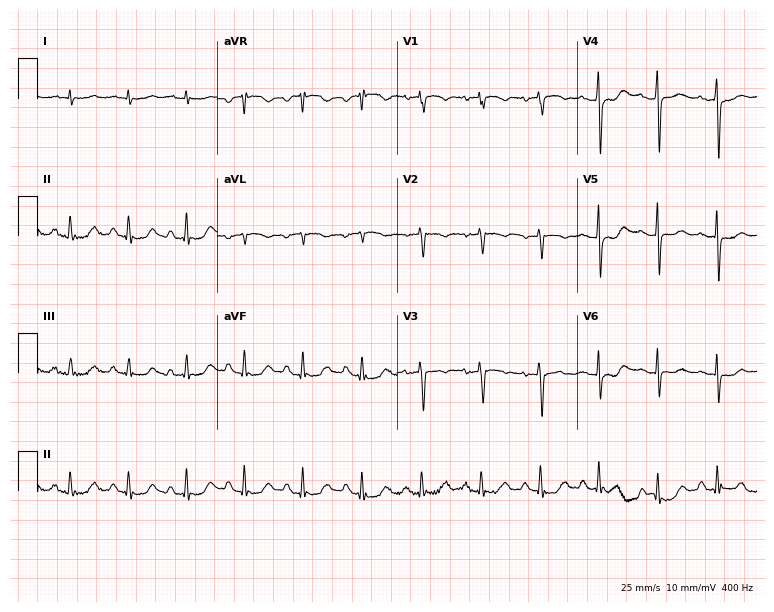
ECG (7.3-second recording at 400 Hz) — a 72-year-old male patient. Findings include sinus tachycardia (a sinus rate of 100 beats per minute or more).